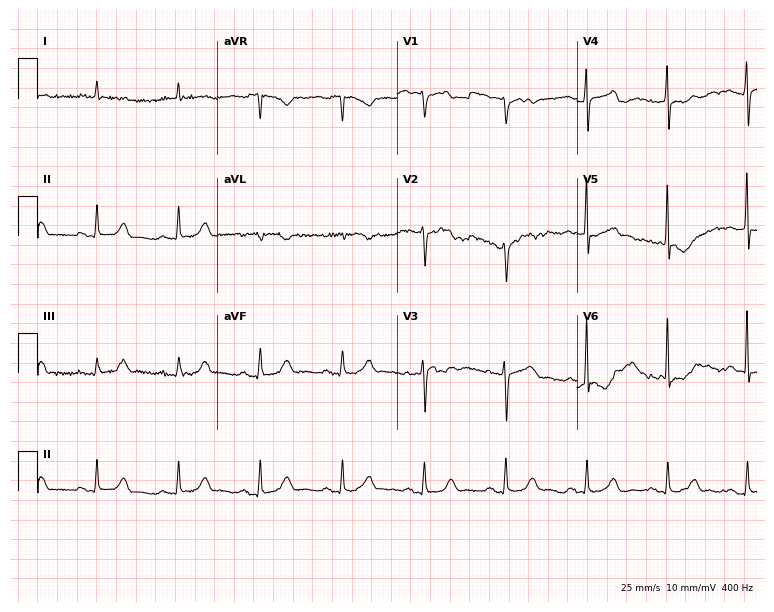
12-lead ECG from a man, 76 years old (7.3-second recording at 400 Hz). Recorded interpretation: within normal limits.